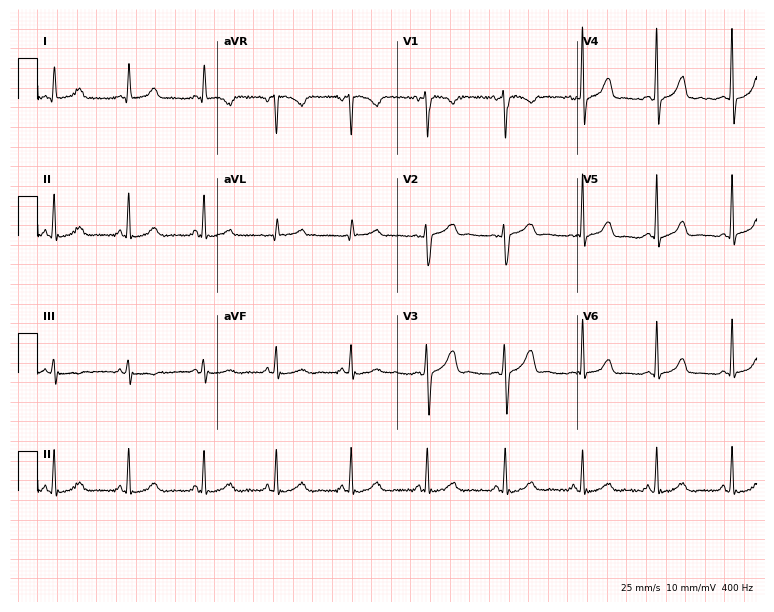
12-lead ECG from a 48-year-old female patient (7.3-second recording at 400 Hz). No first-degree AV block, right bundle branch block, left bundle branch block, sinus bradycardia, atrial fibrillation or sinus tachycardia recorded for this tracing. Only these six findings were labelled.